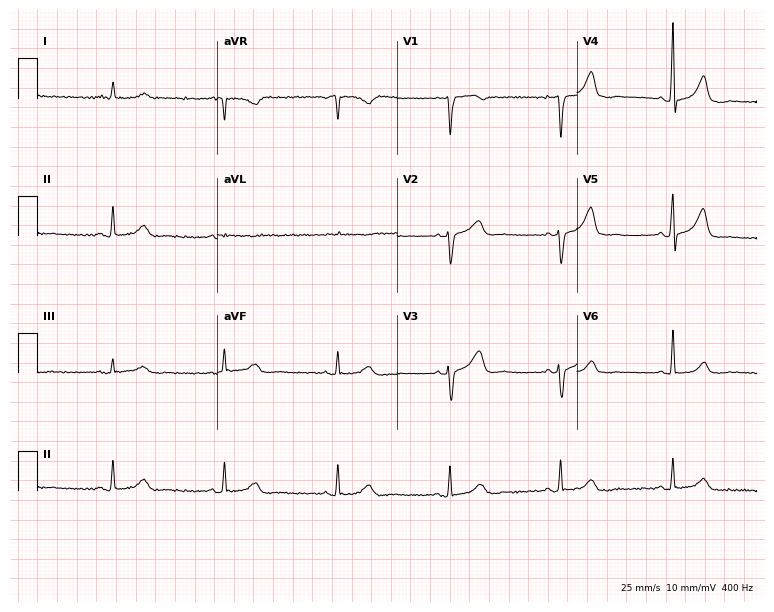
ECG (7.3-second recording at 400 Hz) — a man, 75 years old. Screened for six findings — first-degree AV block, right bundle branch block (RBBB), left bundle branch block (LBBB), sinus bradycardia, atrial fibrillation (AF), sinus tachycardia — none is recorded. Findings outside these six are not listed.